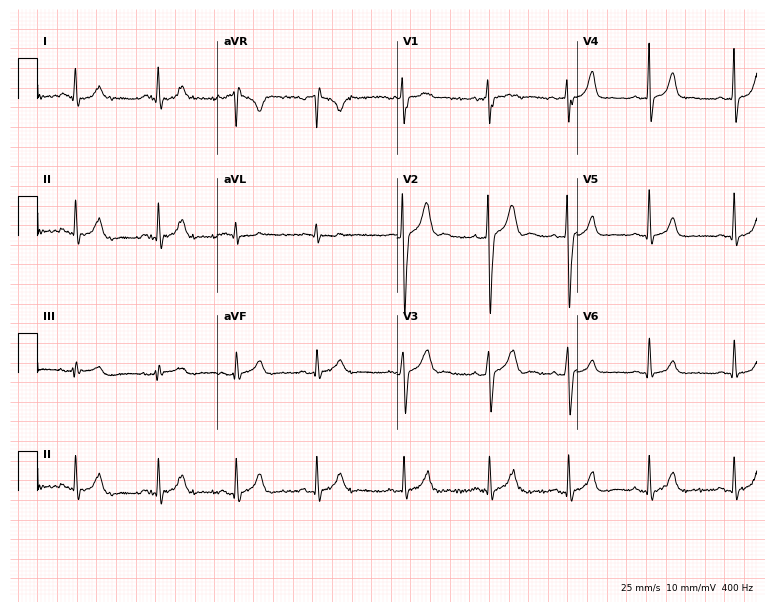
Electrocardiogram (7.3-second recording at 400 Hz), a male, 19 years old. Overall reading on record: normal ECG.